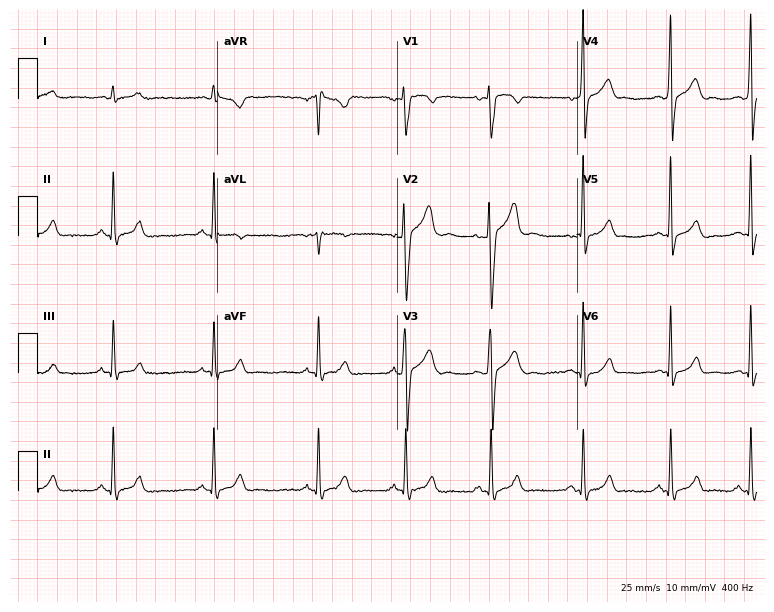
12-lead ECG from a male, 24 years old. No first-degree AV block, right bundle branch block, left bundle branch block, sinus bradycardia, atrial fibrillation or sinus tachycardia recorded for this tracing.